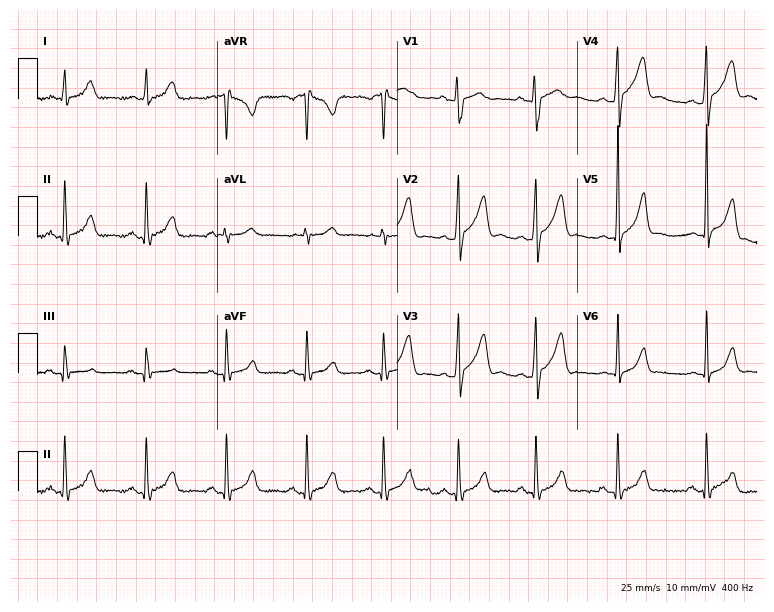
12-lead ECG from a male, 19 years old (7.3-second recording at 400 Hz). No first-degree AV block, right bundle branch block, left bundle branch block, sinus bradycardia, atrial fibrillation or sinus tachycardia recorded for this tracing. Findings outside these six are not listed.